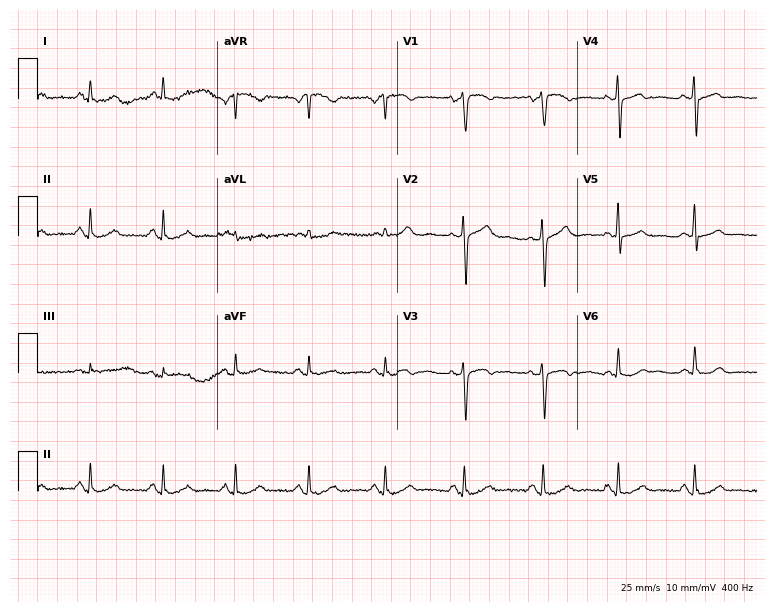
Resting 12-lead electrocardiogram (7.3-second recording at 400 Hz). Patient: a female, 50 years old. Read as a normal ECG.